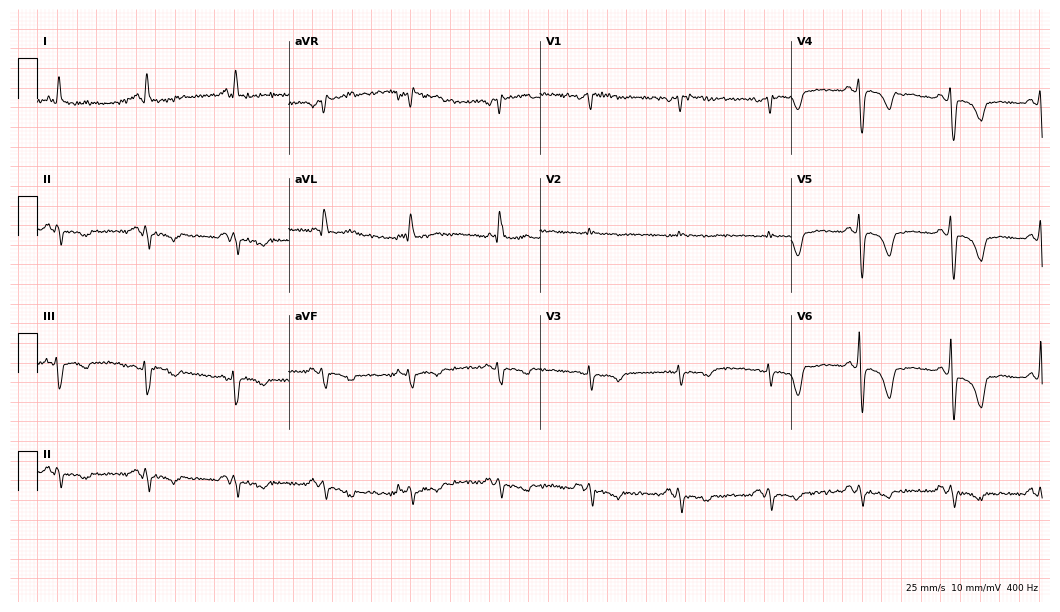
Electrocardiogram (10.2-second recording at 400 Hz), a female patient, 73 years old. Of the six screened findings (first-degree AV block, right bundle branch block, left bundle branch block, sinus bradycardia, atrial fibrillation, sinus tachycardia), none is recorded. Other findings, if any, are not listed.